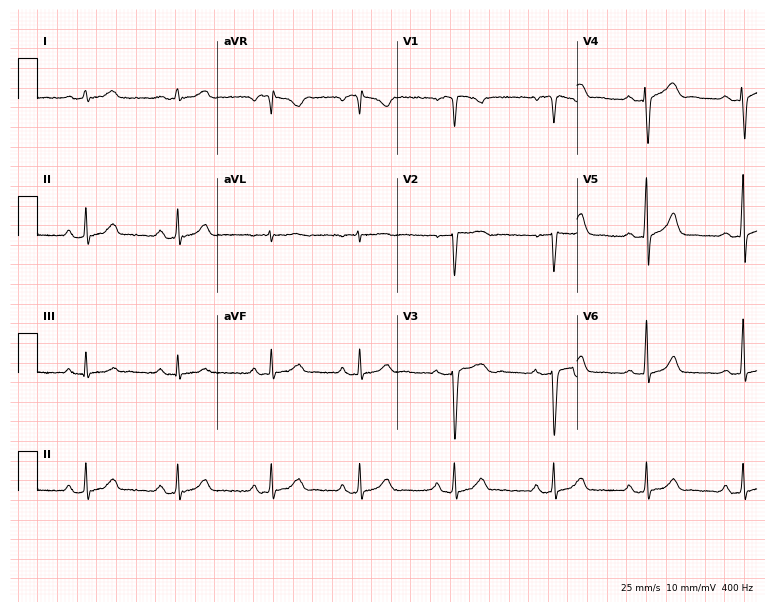
12-lead ECG from a woman, 34 years old. Labelled as a normal ECG.